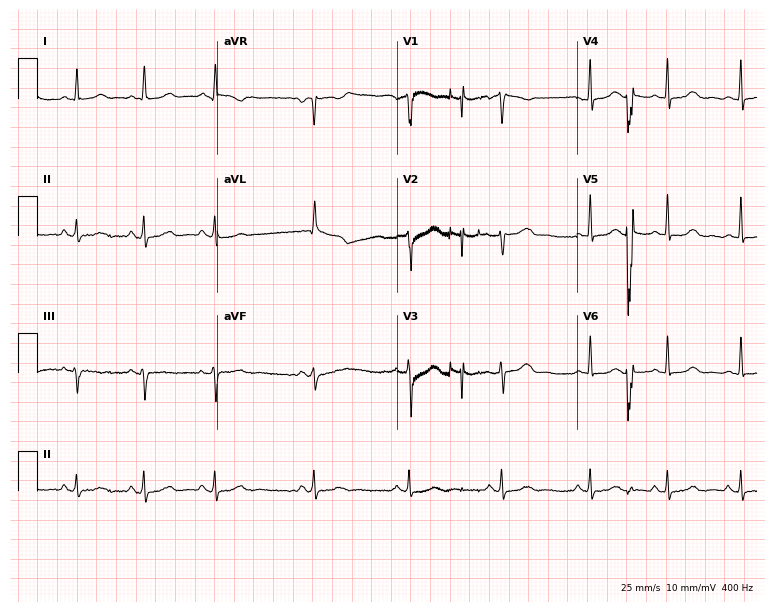
Resting 12-lead electrocardiogram. Patient: an 85-year-old woman. None of these six findings is recorded: first-degree AV block, right bundle branch block, left bundle branch block, sinus bradycardia, atrial fibrillation, sinus tachycardia. Only these six findings were labelled.